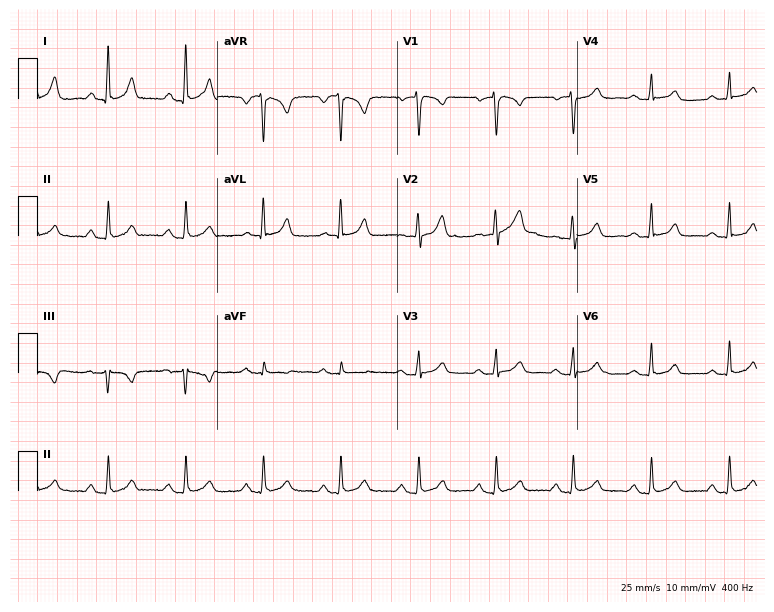
ECG — a 50-year-old female patient. Labelled as a normal ECG.